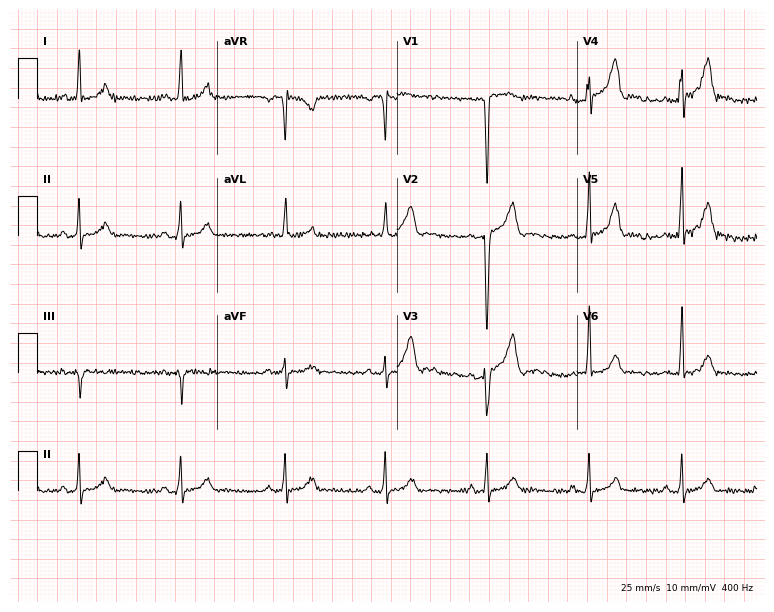
Standard 12-lead ECG recorded from a 22-year-old male patient (7.3-second recording at 400 Hz). None of these six findings is recorded: first-degree AV block, right bundle branch block, left bundle branch block, sinus bradycardia, atrial fibrillation, sinus tachycardia. Findings outside these six are not listed.